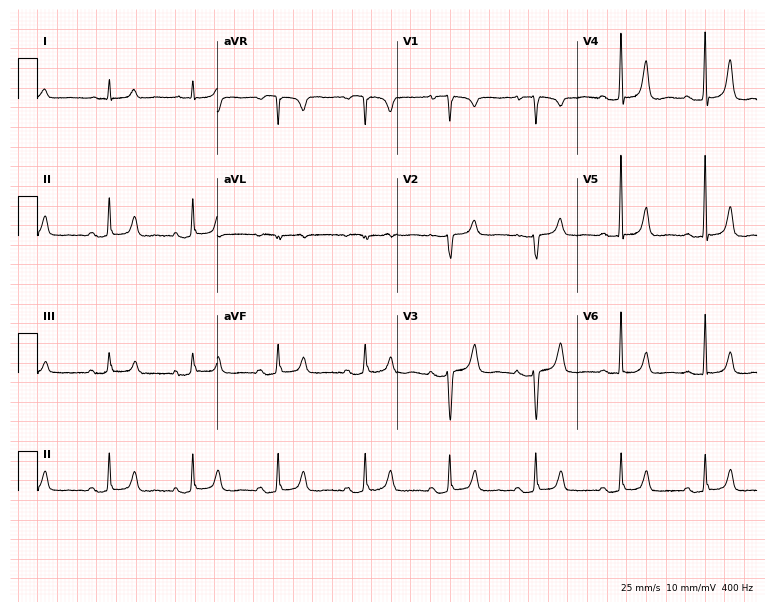
Resting 12-lead electrocardiogram. Patient: an 82-year-old woman. None of these six findings is recorded: first-degree AV block, right bundle branch block, left bundle branch block, sinus bradycardia, atrial fibrillation, sinus tachycardia.